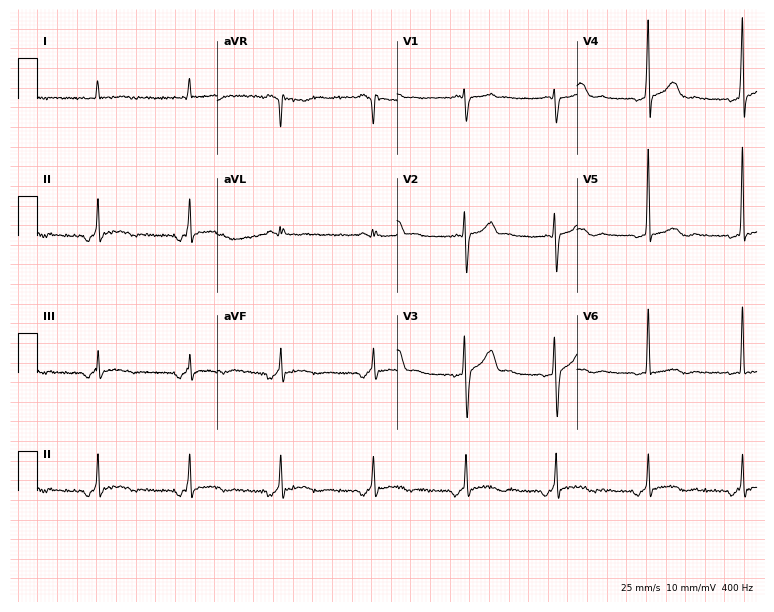
Resting 12-lead electrocardiogram. Patient: a 50-year-old male. None of these six findings is recorded: first-degree AV block, right bundle branch block (RBBB), left bundle branch block (LBBB), sinus bradycardia, atrial fibrillation (AF), sinus tachycardia. Only these six findings were labelled.